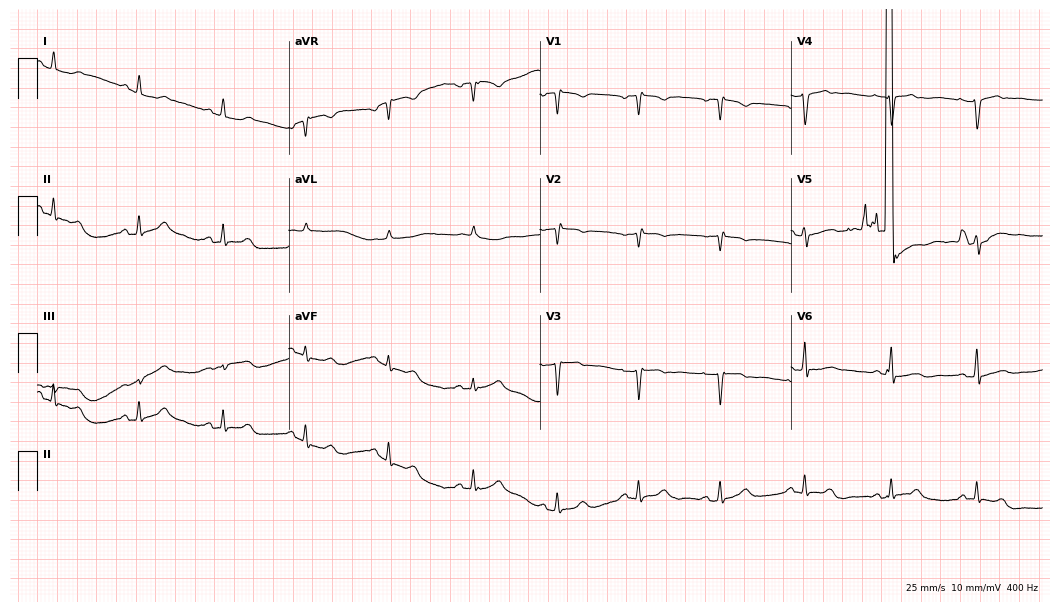
Standard 12-lead ECG recorded from a female, 50 years old (10.2-second recording at 400 Hz). None of these six findings is recorded: first-degree AV block, right bundle branch block, left bundle branch block, sinus bradycardia, atrial fibrillation, sinus tachycardia.